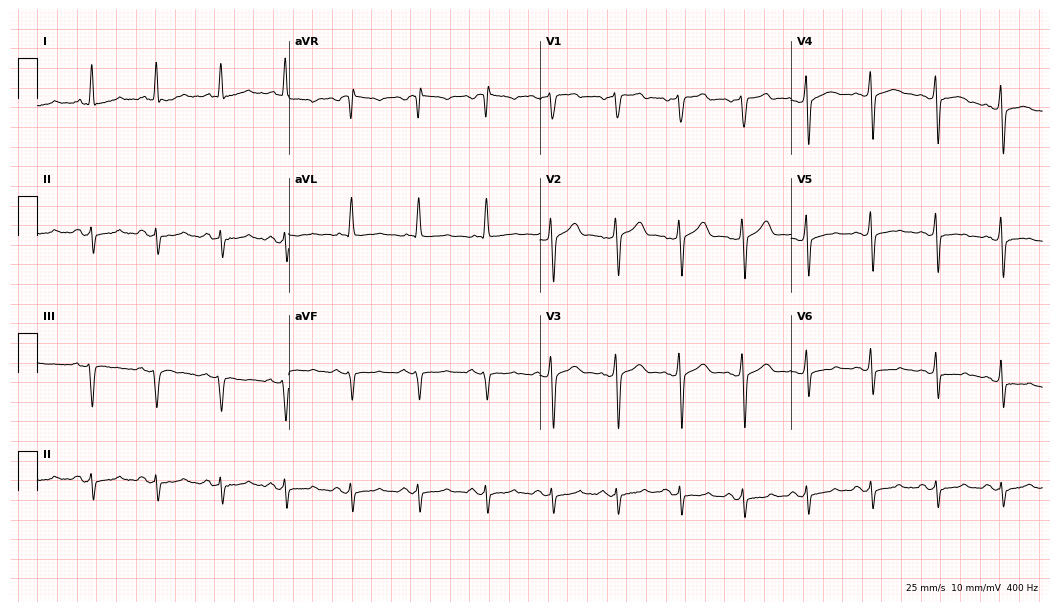
12-lead ECG from a 52-year-old male. Screened for six findings — first-degree AV block, right bundle branch block, left bundle branch block, sinus bradycardia, atrial fibrillation, sinus tachycardia — none is recorded.